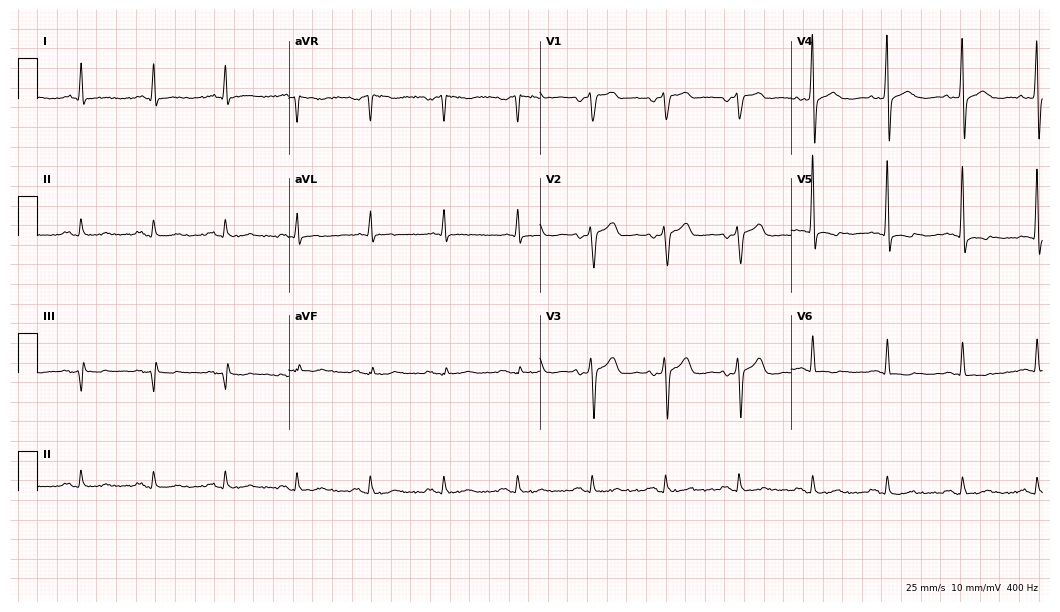
Resting 12-lead electrocardiogram. Patient: a 65-year-old female. None of these six findings is recorded: first-degree AV block, right bundle branch block, left bundle branch block, sinus bradycardia, atrial fibrillation, sinus tachycardia. Other findings, if any, are not listed.